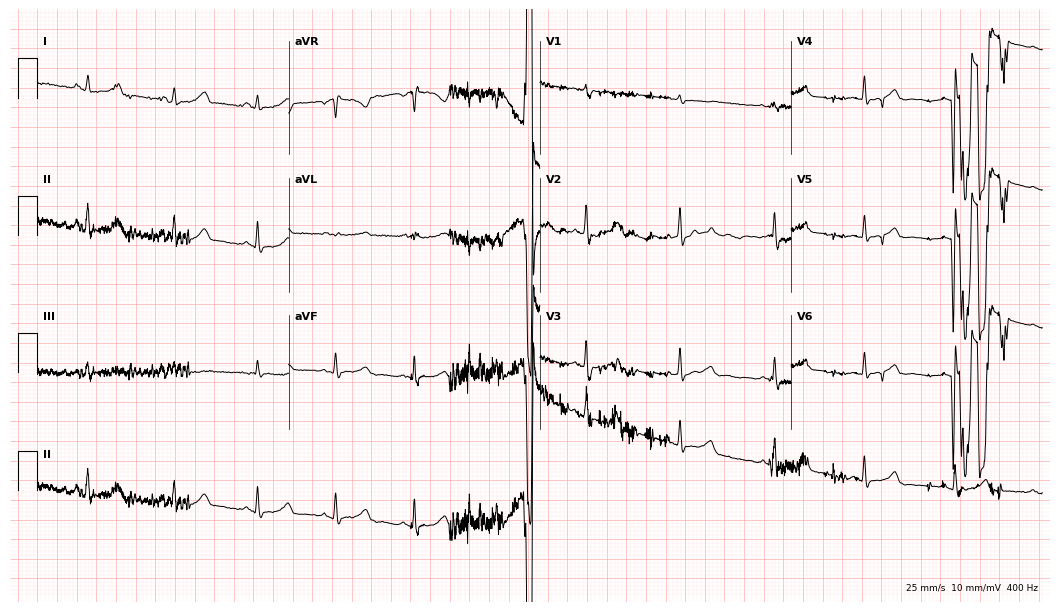
Standard 12-lead ECG recorded from a female patient, 35 years old. Read as a normal ECG.